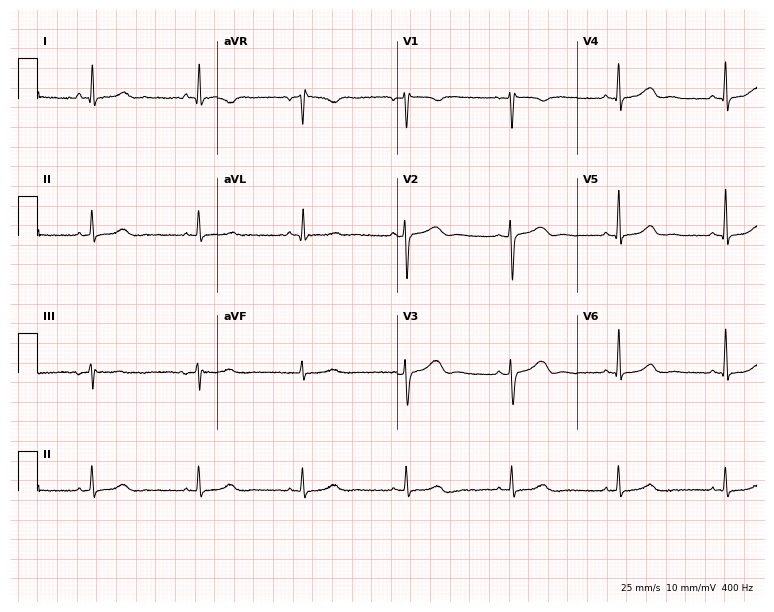
12-lead ECG from a female patient, 48 years old (7.3-second recording at 400 Hz). Recorded interpretation: within normal limits.